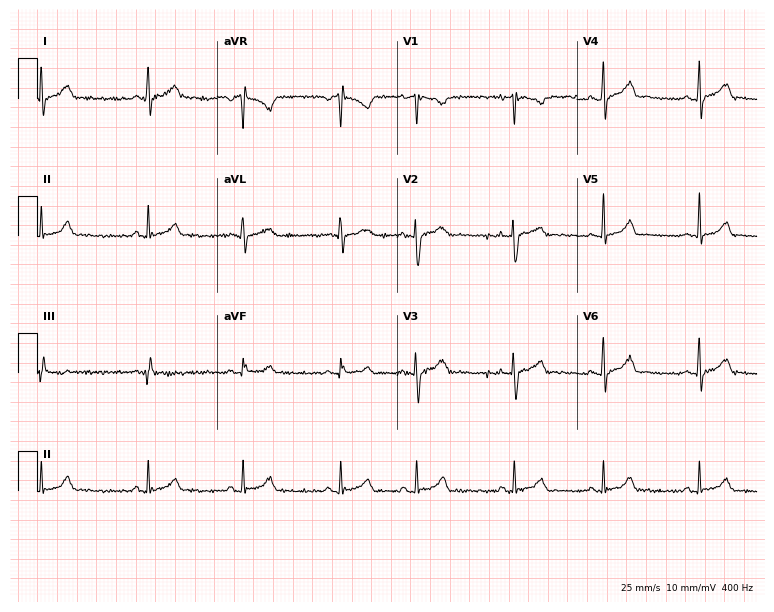
Standard 12-lead ECG recorded from a 28-year-old female patient (7.3-second recording at 400 Hz). None of these six findings is recorded: first-degree AV block, right bundle branch block, left bundle branch block, sinus bradycardia, atrial fibrillation, sinus tachycardia.